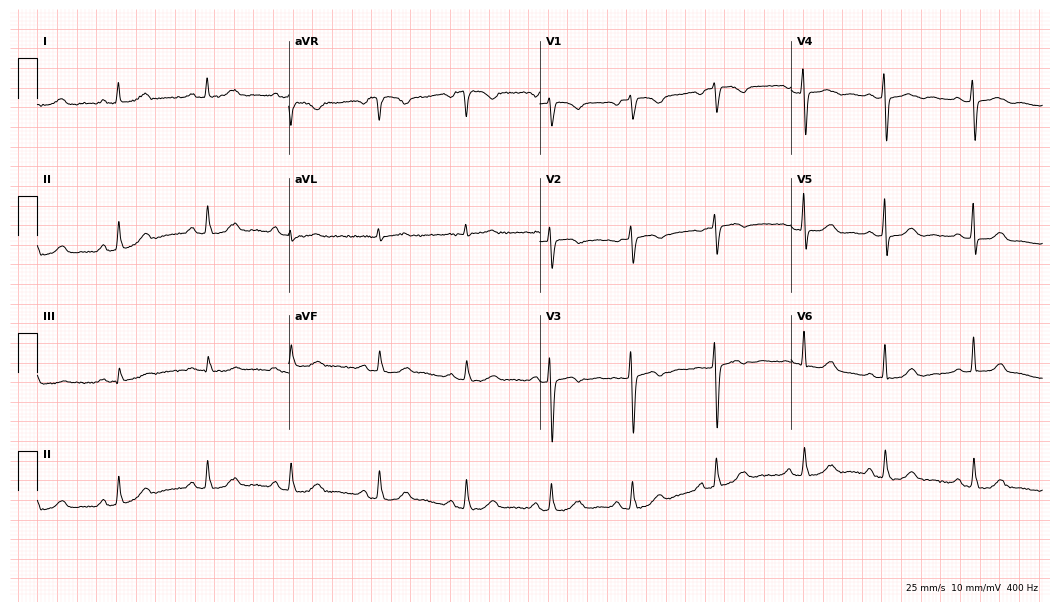
12-lead ECG (10.2-second recording at 400 Hz) from a female, 52 years old. Labelled as a normal ECG.